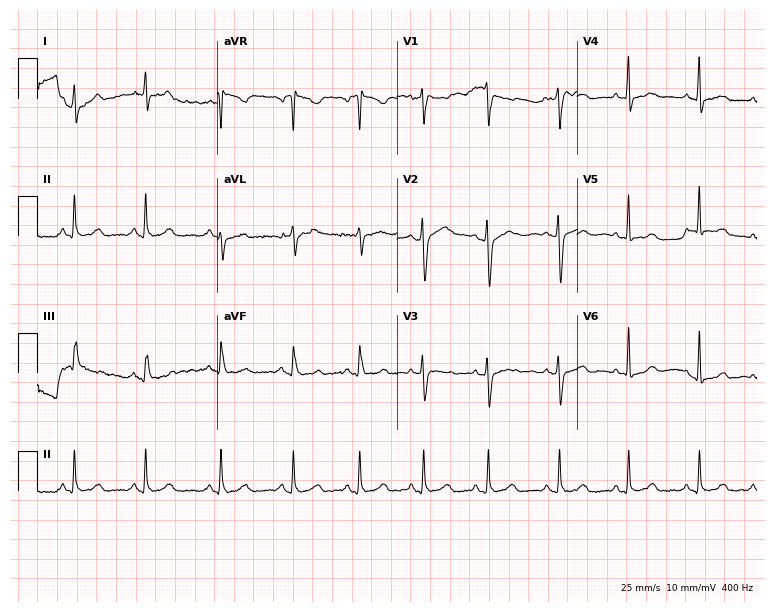
12-lead ECG from a 40-year-old female (7.3-second recording at 400 Hz). No first-degree AV block, right bundle branch block, left bundle branch block, sinus bradycardia, atrial fibrillation or sinus tachycardia recorded for this tracing.